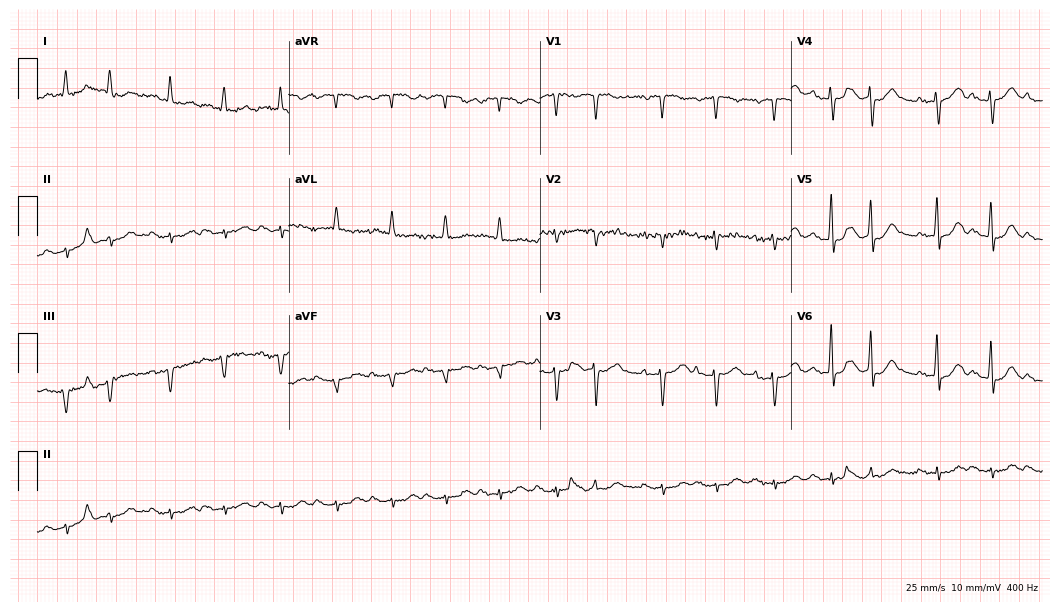
Standard 12-lead ECG recorded from a male patient, 79 years old. The tracing shows sinus tachycardia (a sinus rate of 100 beats per minute or more).